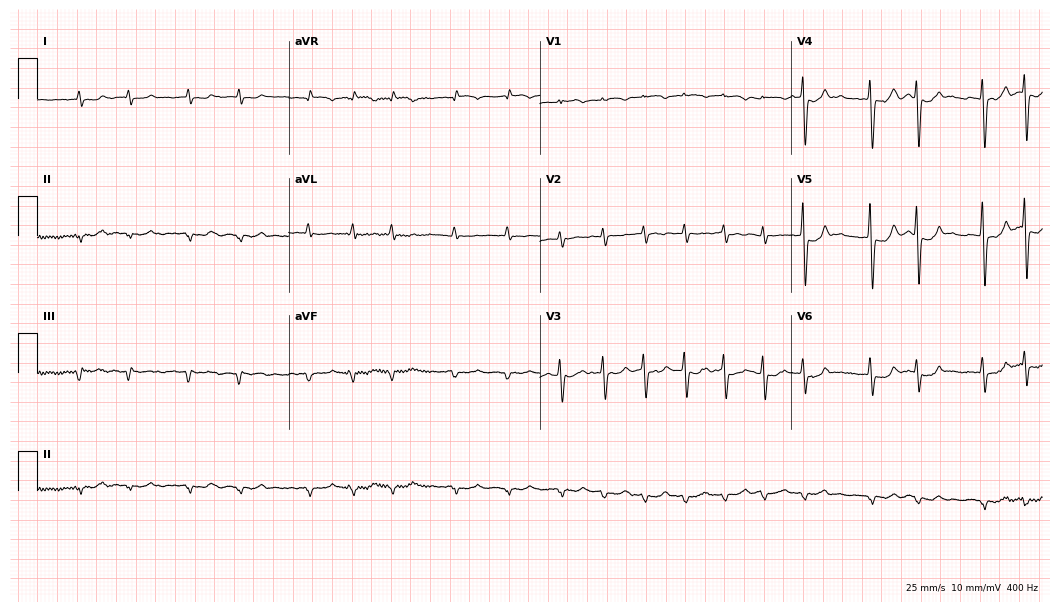
12-lead ECG (10.2-second recording at 400 Hz) from a male patient, 85 years old. Findings include atrial fibrillation.